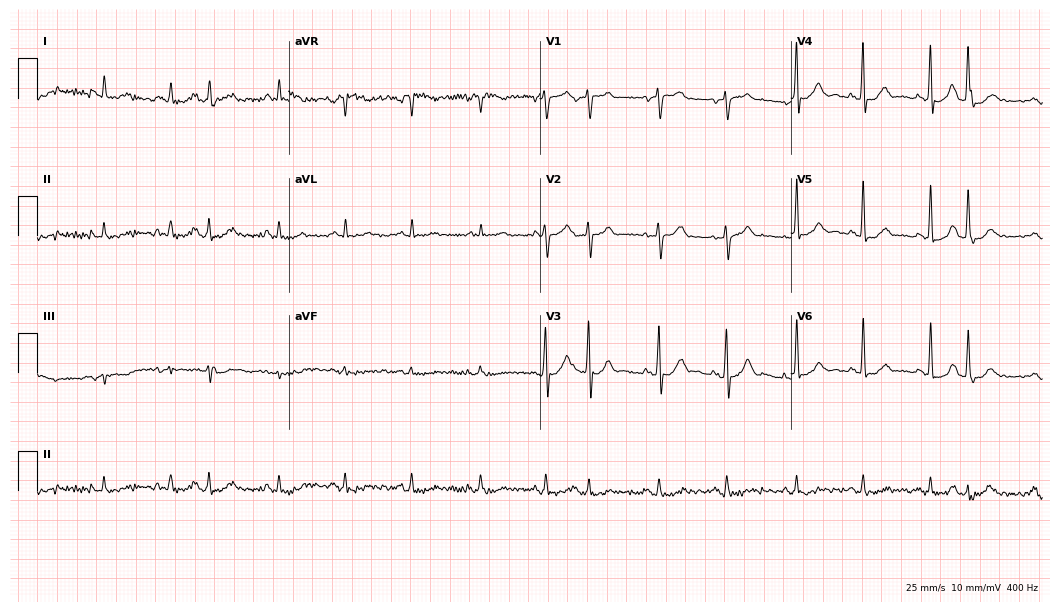
Electrocardiogram, a man, 71 years old. Of the six screened findings (first-degree AV block, right bundle branch block (RBBB), left bundle branch block (LBBB), sinus bradycardia, atrial fibrillation (AF), sinus tachycardia), none is recorded.